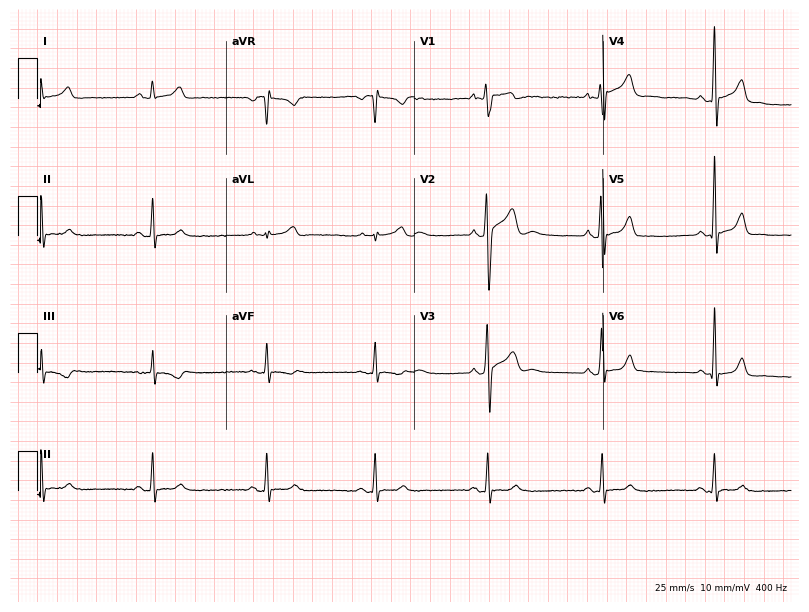
ECG — a 28-year-old male. Labelled as a normal ECG.